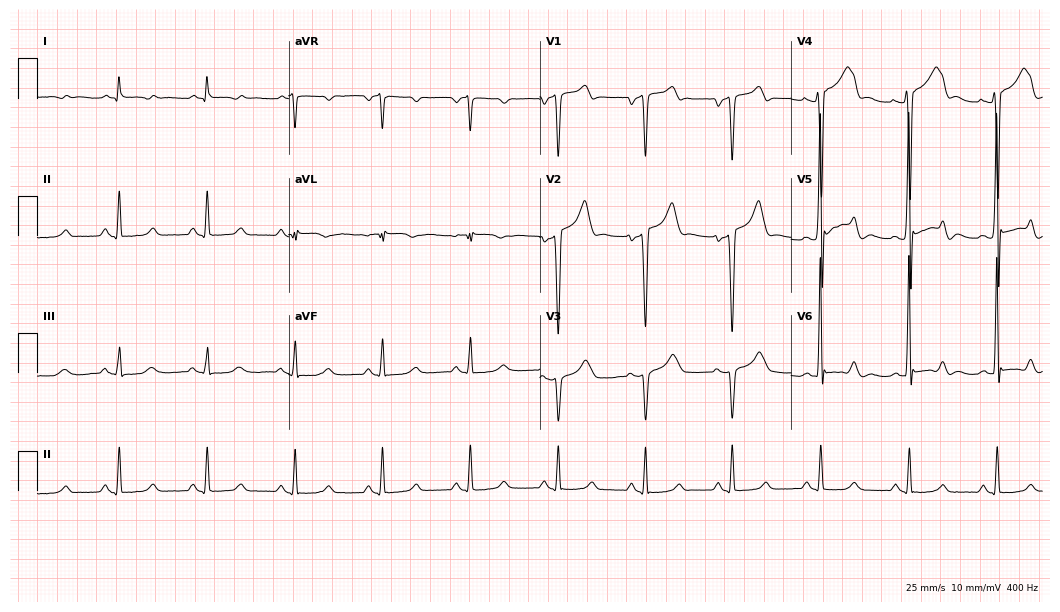
Resting 12-lead electrocardiogram (10.2-second recording at 400 Hz). Patient: a 55-year-old male. Read as a normal ECG.